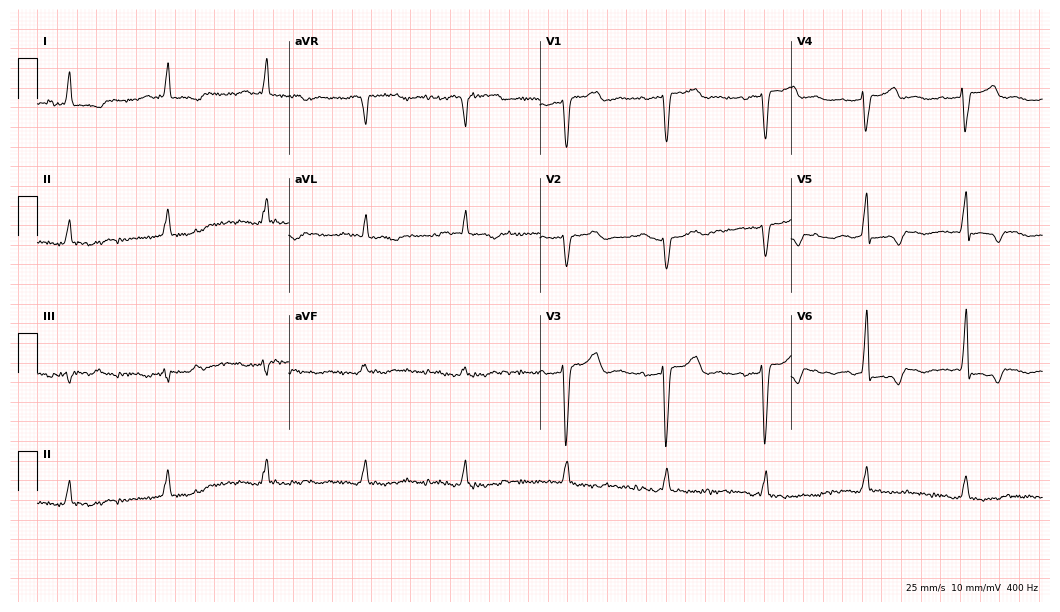
Resting 12-lead electrocardiogram (10.2-second recording at 400 Hz). Patient: a female, 85 years old. None of these six findings is recorded: first-degree AV block, right bundle branch block, left bundle branch block, sinus bradycardia, atrial fibrillation, sinus tachycardia.